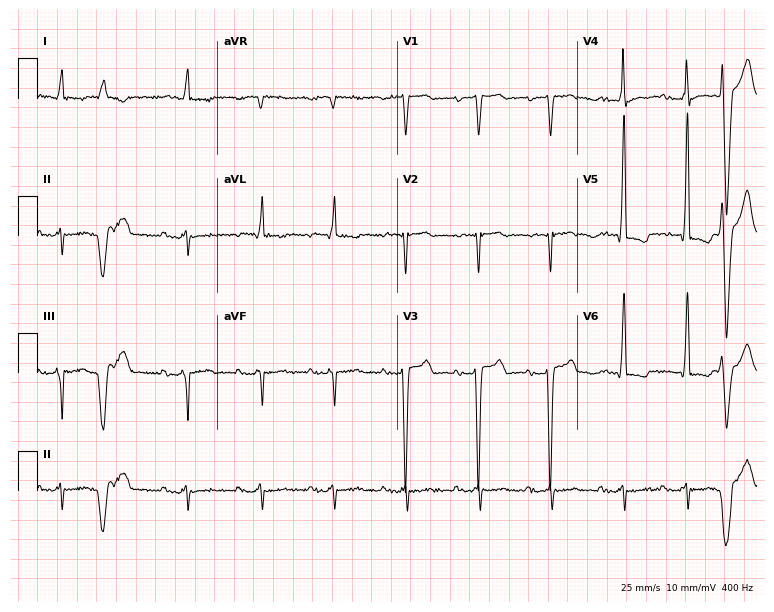
Standard 12-lead ECG recorded from a 78-year-old male (7.3-second recording at 400 Hz). None of these six findings is recorded: first-degree AV block, right bundle branch block, left bundle branch block, sinus bradycardia, atrial fibrillation, sinus tachycardia. Only these six findings were labelled.